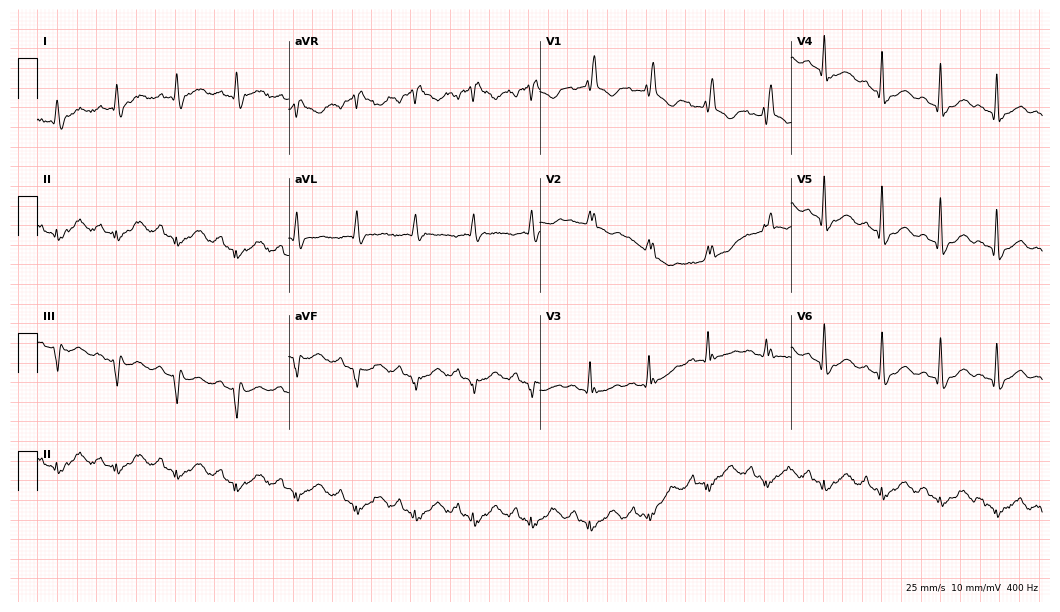
ECG (10.2-second recording at 400 Hz) — a 71-year-old female. Findings include right bundle branch block.